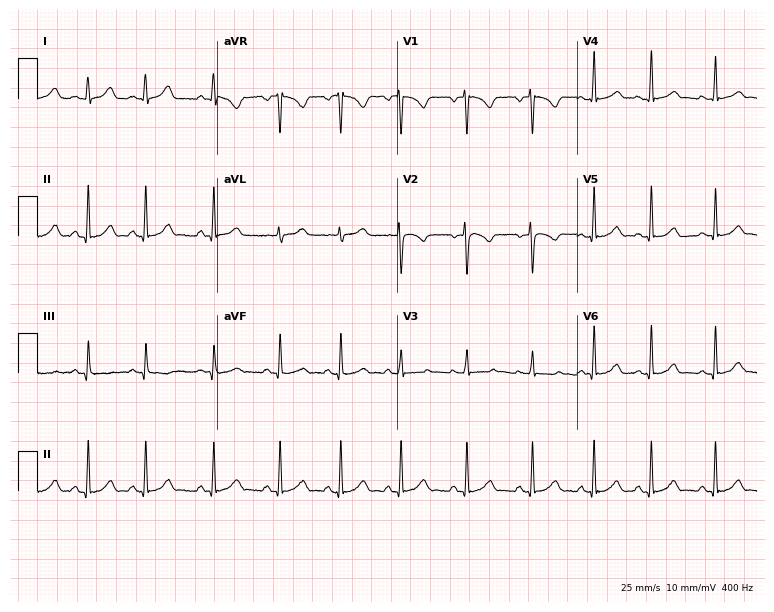
Electrocardiogram (7.3-second recording at 400 Hz), a female patient, 17 years old. Overall reading on record: normal ECG.